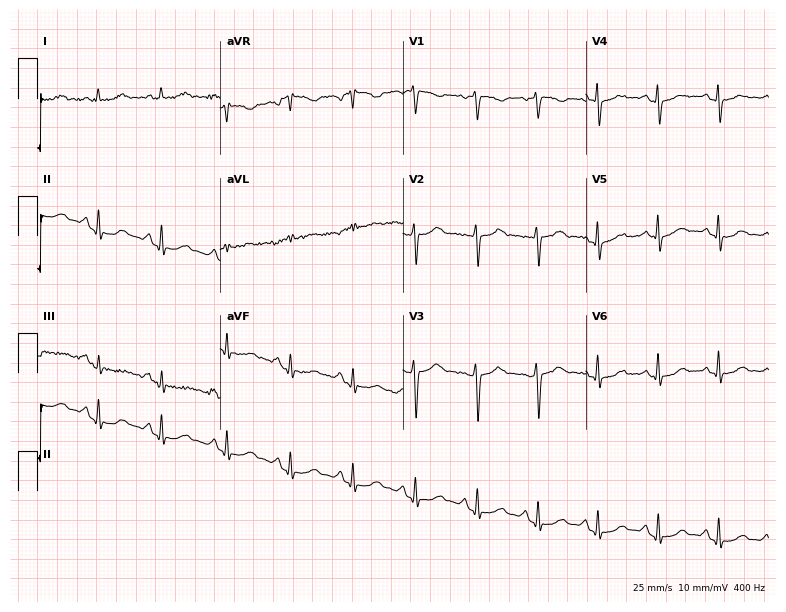
Standard 12-lead ECG recorded from a female, 62 years old. Read as a normal ECG.